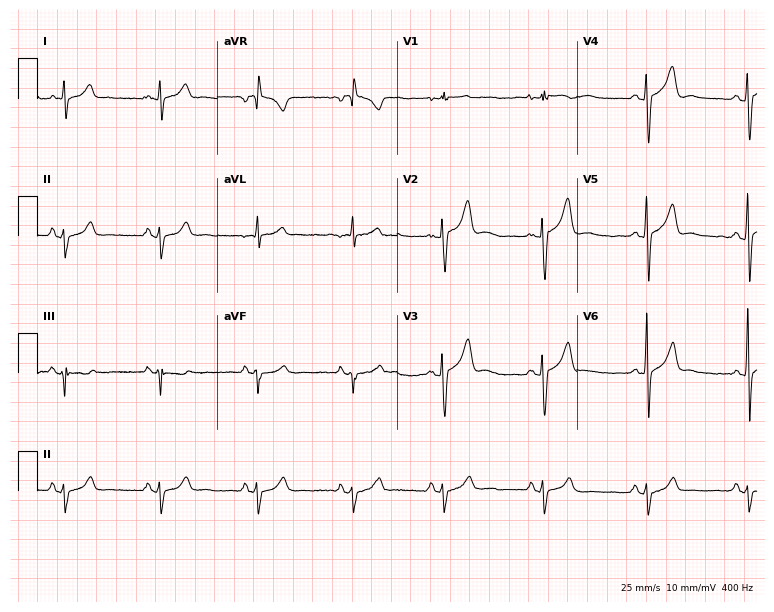
ECG — a male, 20 years old. Screened for six findings — first-degree AV block, right bundle branch block, left bundle branch block, sinus bradycardia, atrial fibrillation, sinus tachycardia — none is recorded.